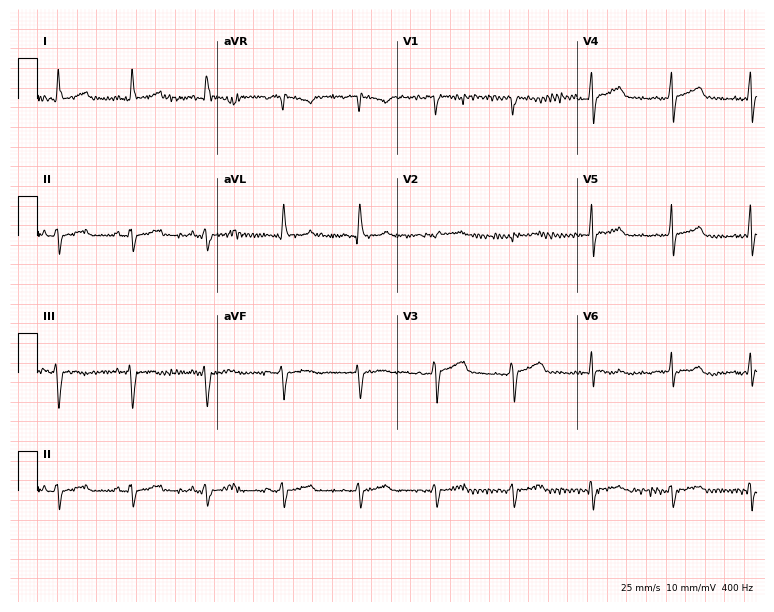
12-lead ECG (7.3-second recording at 400 Hz) from a female, 45 years old. Screened for six findings — first-degree AV block, right bundle branch block (RBBB), left bundle branch block (LBBB), sinus bradycardia, atrial fibrillation (AF), sinus tachycardia — none is recorded. Other findings, if any, are not listed.